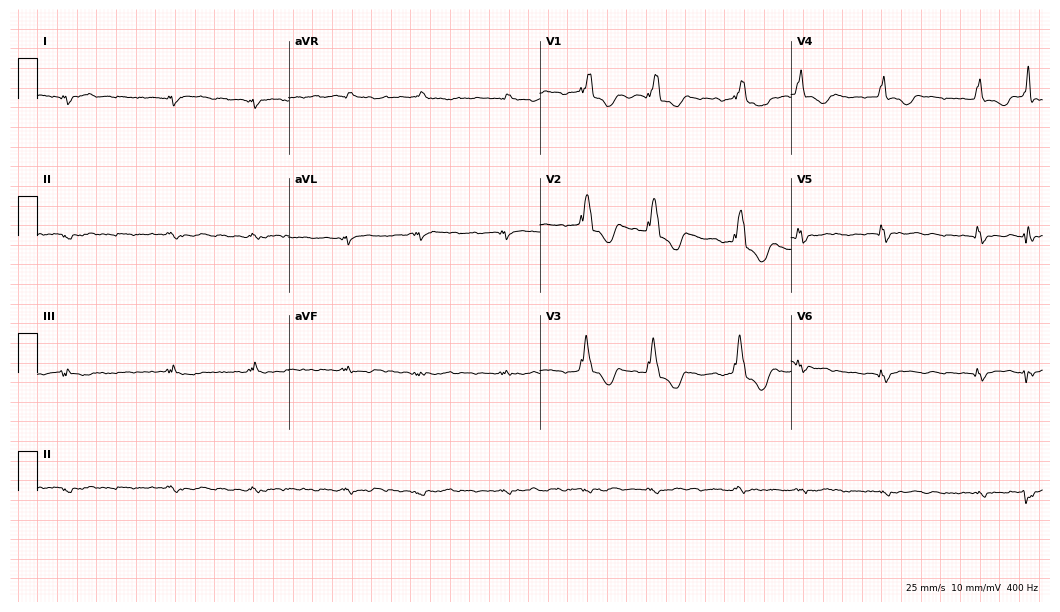
12-lead ECG from a male, 79 years old. Findings include right bundle branch block, atrial fibrillation.